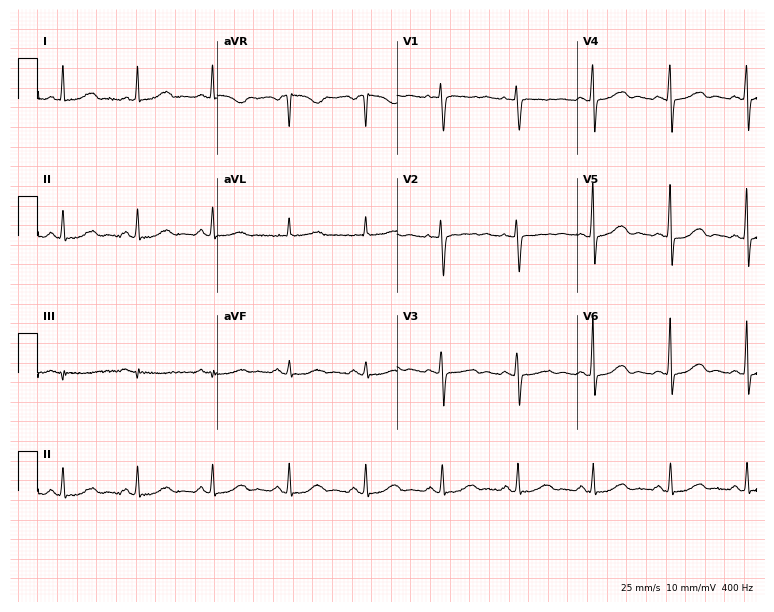
Standard 12-lead ECG recorded from a woman, 78 years old (7.3-second recording at 400 Hz). Read as a normal ECG.